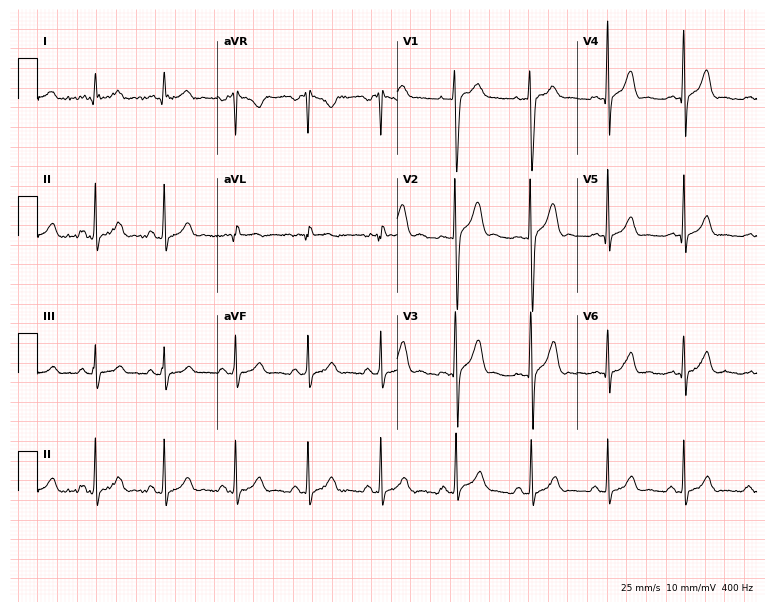
Standard 12-lead ECG recorded from a 25-year-old man. None of these six findings is recorded: first-degree AV block, right bundle branch block, left bundle branch block, sinus bradycardia, atrial fibrillation, sinus tachycardia. Other findings, if any, are not listed.